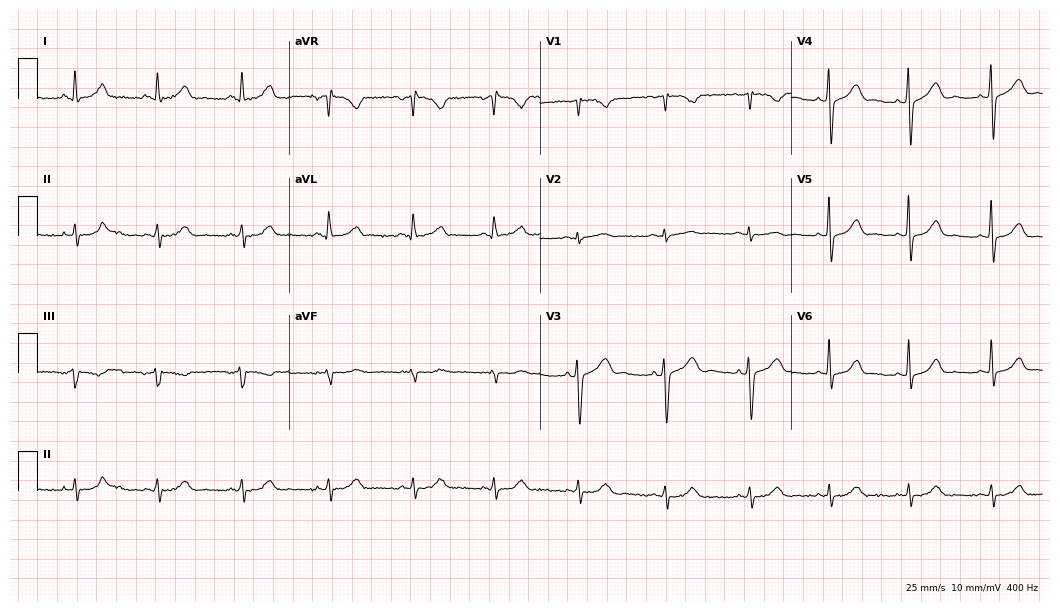
Resting 12-lead electrocardiogram (10.2-second recording at 400 Hz). Patient: a 51-year-old female. Read as a normal ECG.